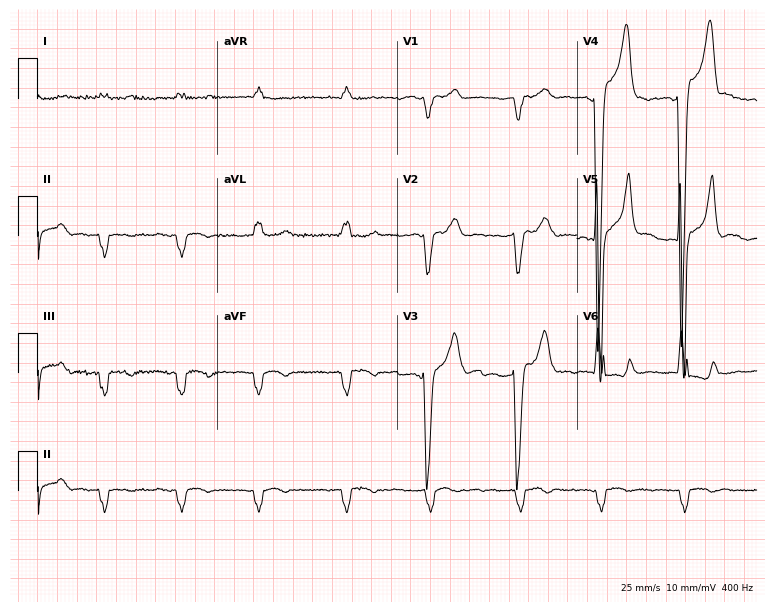
12-lead ECG from a 76-year-old man (7.3-second recording at 400 Hz). No first-degree AV block, right bundle branch block, left bundle branch block, sinus bradycardia, atrial fibrillation or sinus tachycardia recorded for this tracing.